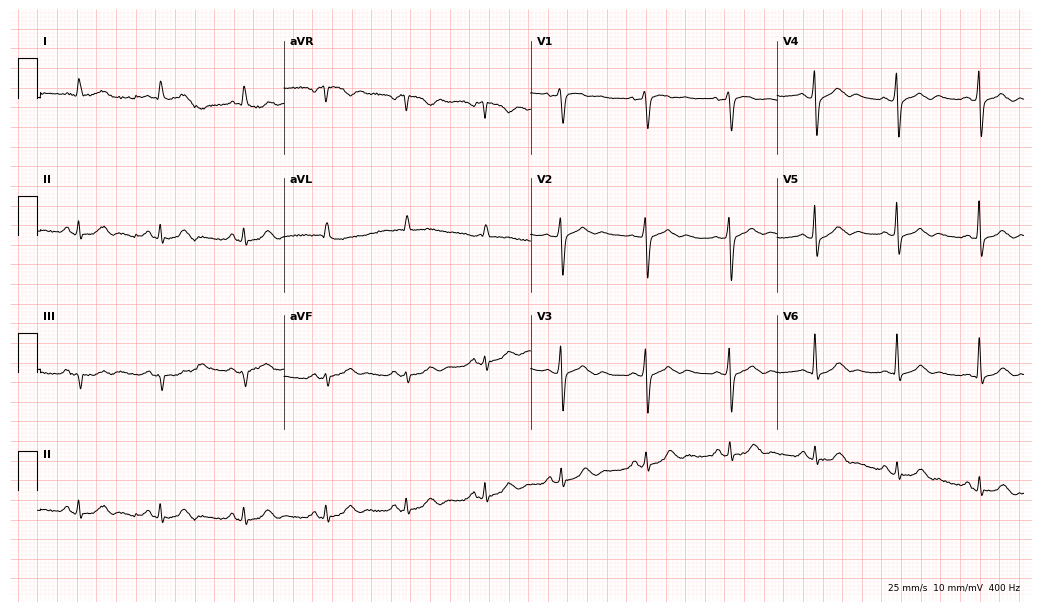
Standard 12-lead ECG recorded from a 63-year-old male patient. None of these six findings is recorded: first-degree AV block, right bundle branch block (RBBB), left bundle branch block (LBBB), sinus bradycardia, atrial fibrillation (AF), sinus tachycardia.